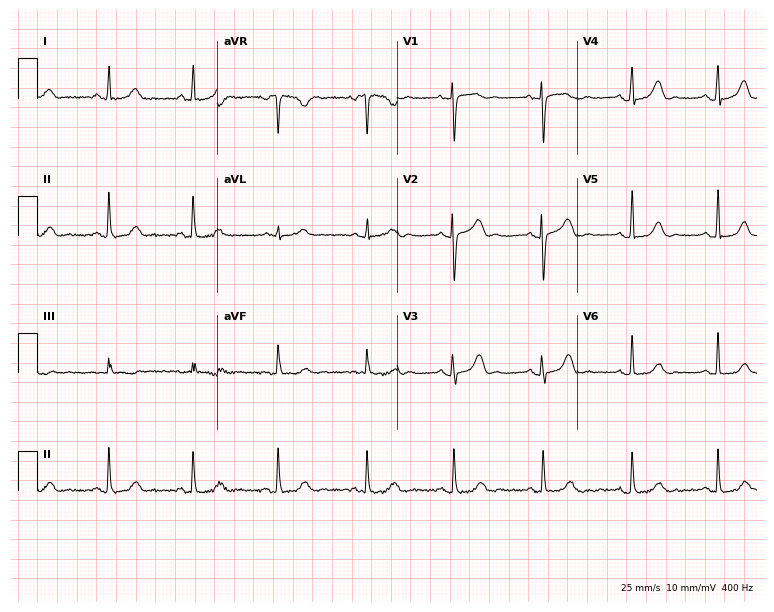
Resting 12-lead electrocardiogram. Patient: a 48-year-old woman. Read as a normal ECG.